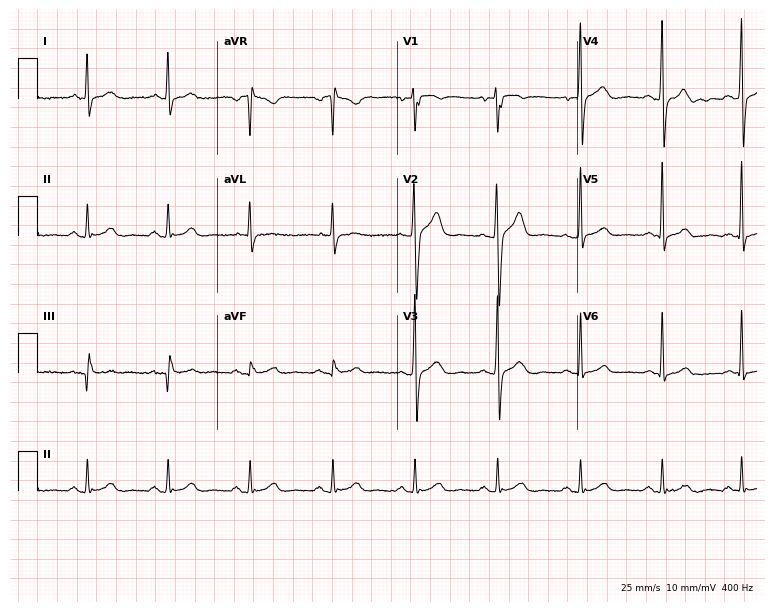
Standard 12-lead ECG recorded from a male, 37 years old. None of these six findings is recorded: first-degree AV block, right bundle branch block, left bundle branch block, sinus bradycardia, atrial fibrillation, sinus tachycardia.